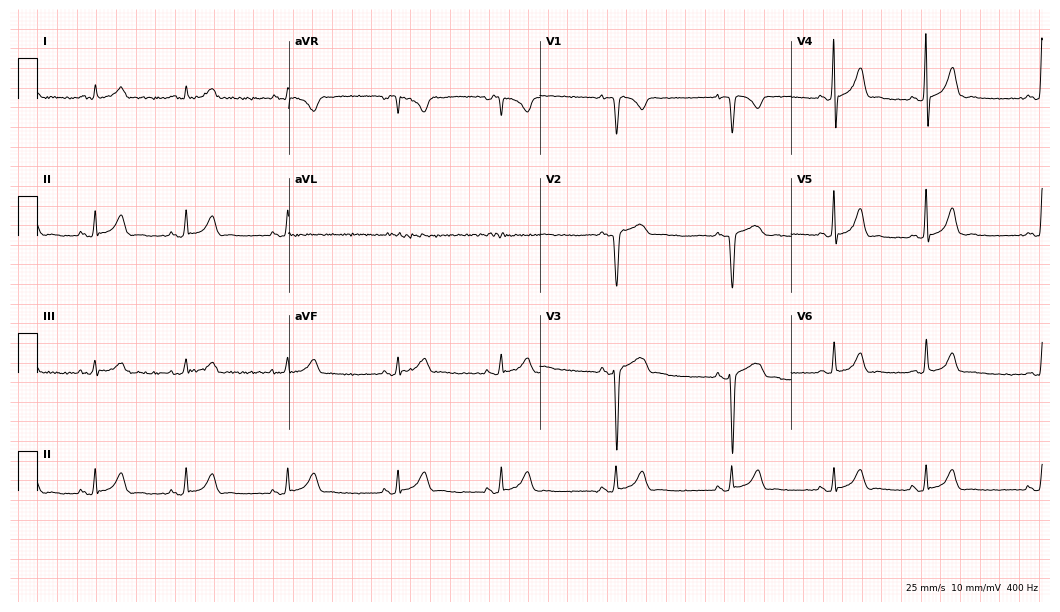
12-lead ECG from a female patient, 17 years old. Screened for six findings — first-degree AV block, right bundle branch block, left bundle branch block, sinus bradycardia, atrial fibrillation, sinus tachycardia — none is recorded.